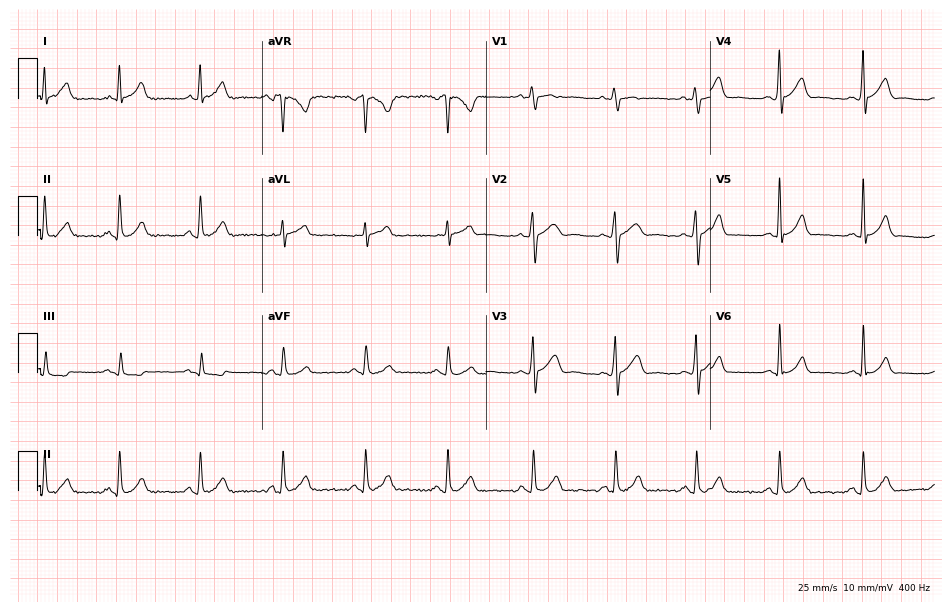
Electrocardiogram, a 27-year-old male. Overall reading on record: normal ECG.